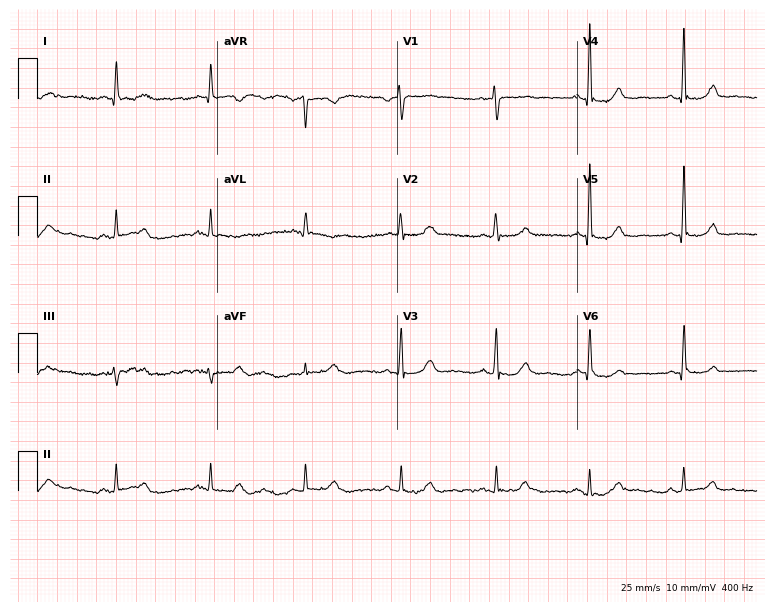
Electrocardiogram, a woman, 59 years old. Overall reading on record: normal ECG.